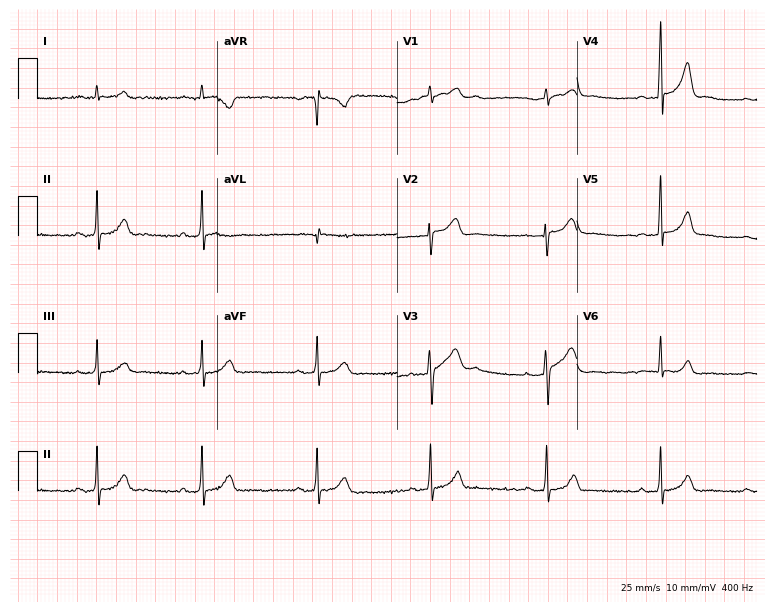
Electrocardiogram (7.3-second recording at 400 Hz), a 24-year-old male. Overall reading on record: normal ECG.